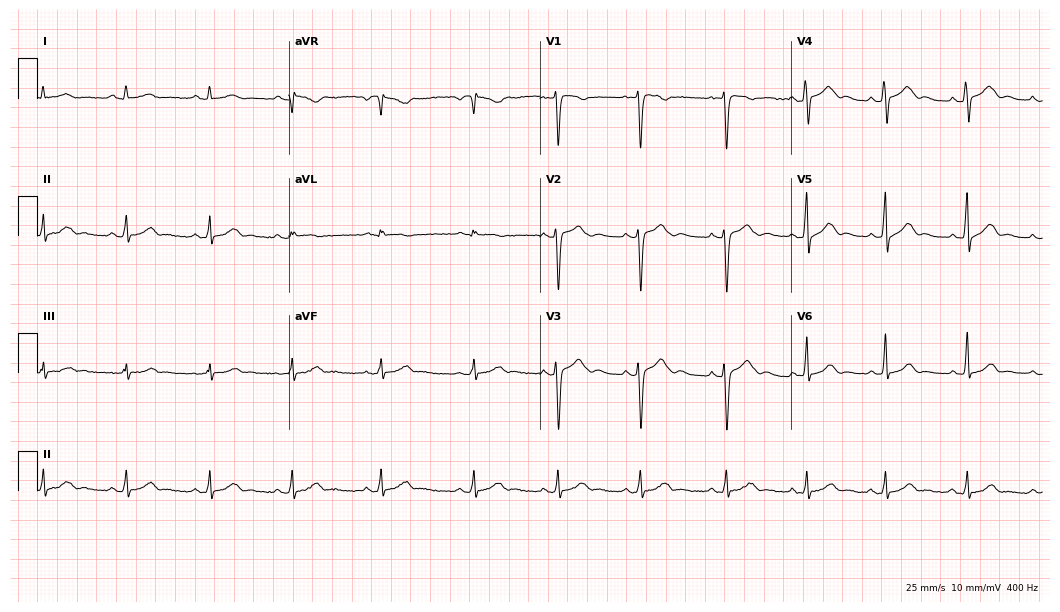
12-lead ECG from a female, 19 years old. Recorded interpretation: within normal limits.